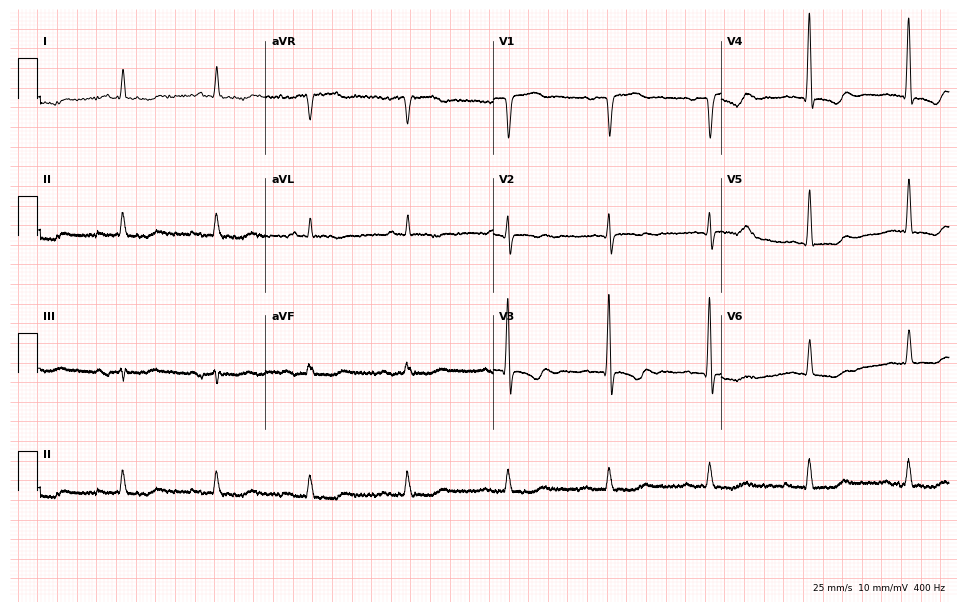
Standard 12-lead ECG recorded from a man, 77 years old. None of these six findings is recorded: first-degree AV block, right bundle branch block, left bundle branch block, sinus bradycardia, atrial fibrillation, sinus tachycardia. Other findings, if any, are not listed.